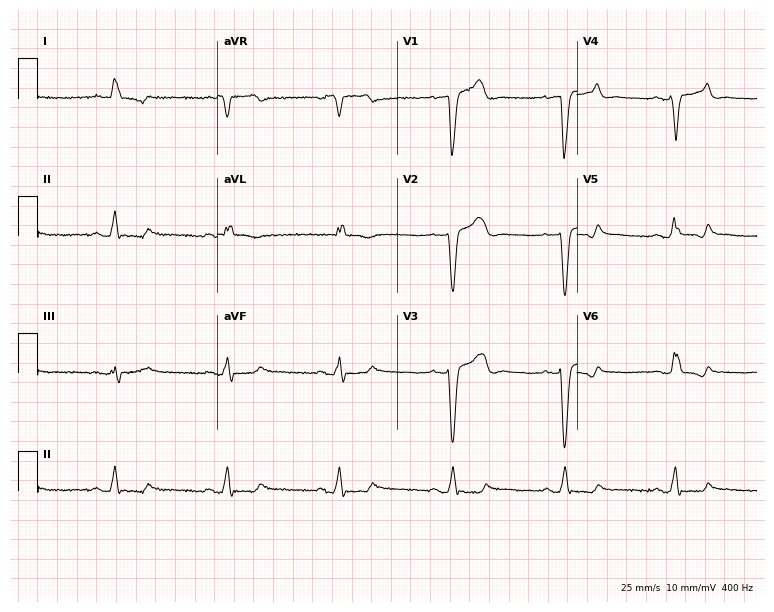
ECG — a male patient, 68 years old. Findings include left bundle branch block (LBBB).